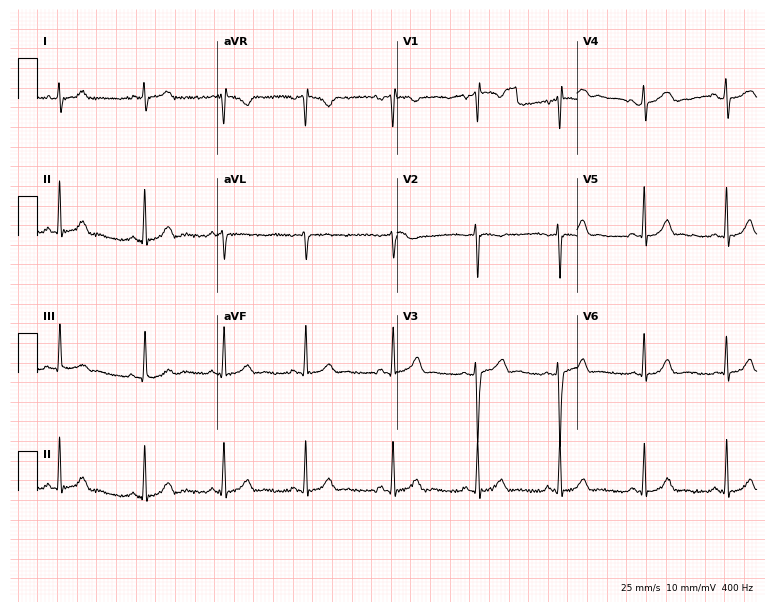
Resting 12-lead electrocardiogram. Patient: a female, 18 years old. Read as a normal ECG.